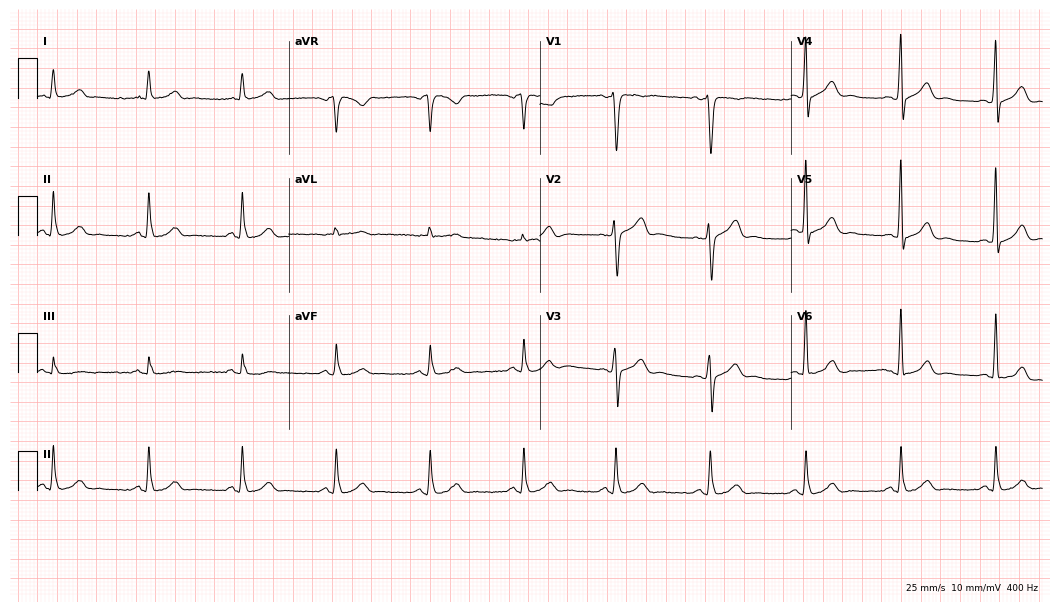
12-lead ECG from a 44-year-old male patient. Labelled as a normal ECG.